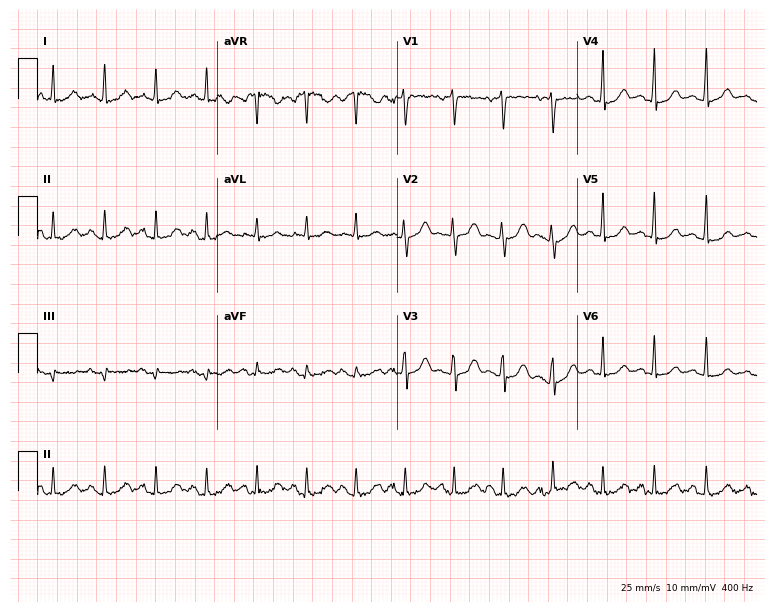
Resting 12-lead electrocardiogram. Patient: a 38-year-old female. None of these six findings is recorded: first-degree AV block, right bundle branch block, left bundle branch block, sinus bradycardia, atrial fibrillation, sinus tachycardia.